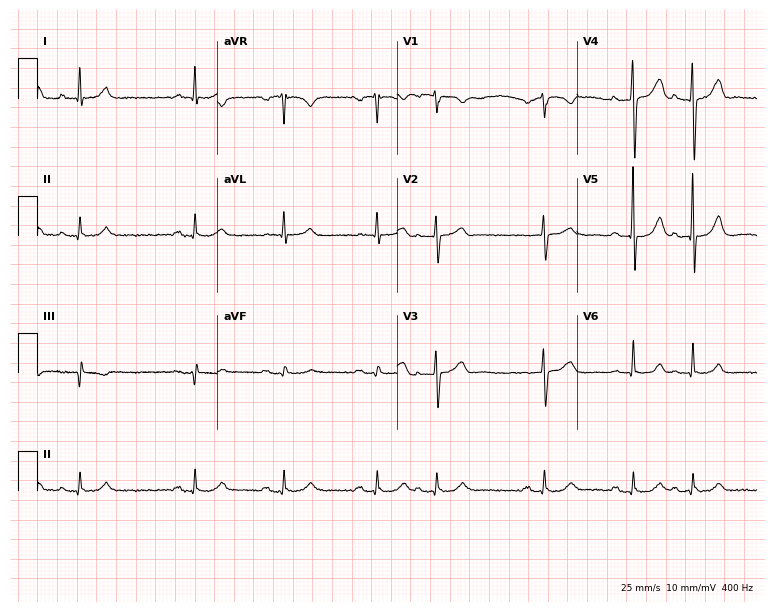
ECG (7.3-second recording at 400 Hz) — a male, 81 years old. Screened for six findings — first-degree AV block, right bundle branch block, left bundle branch block, sinus bradycardia, atrial fibrillation, sinus tachycardia — none is recorded.